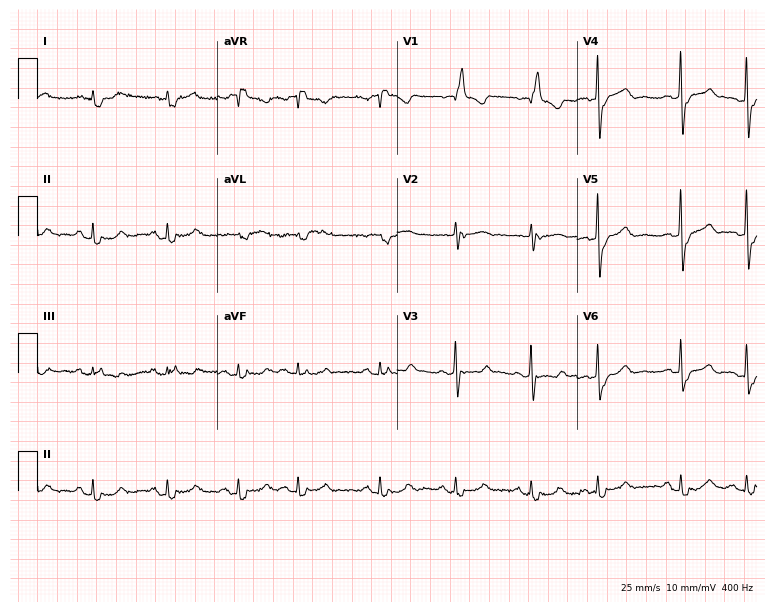
12-lead ECG from a man, 83 years old. Shows right bundle branch block.